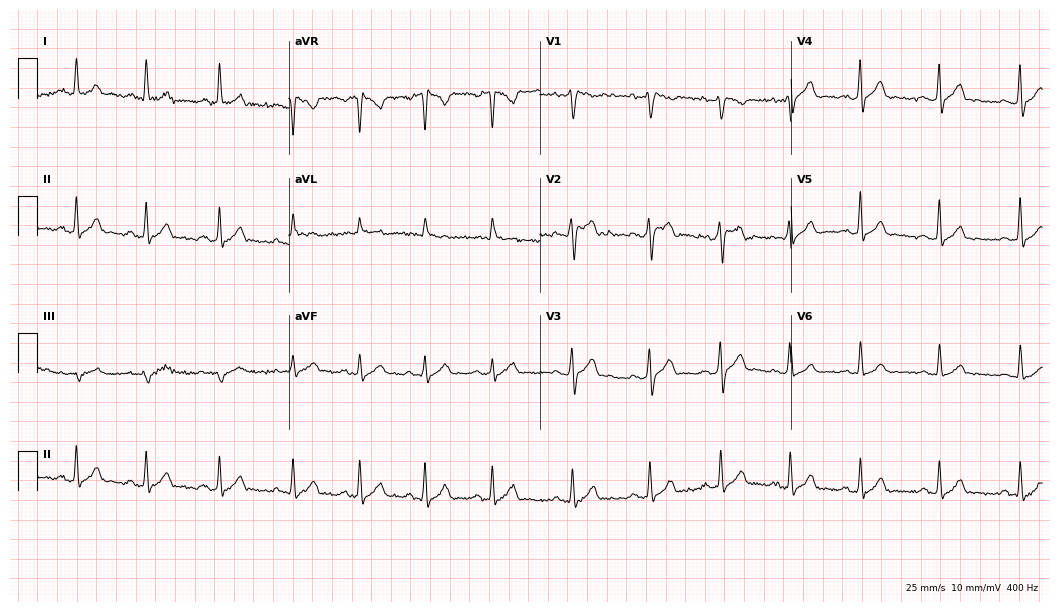
Resting 12-lead electrocardiogram. Patient: a man, 25 years old. Read as a normal ECG.